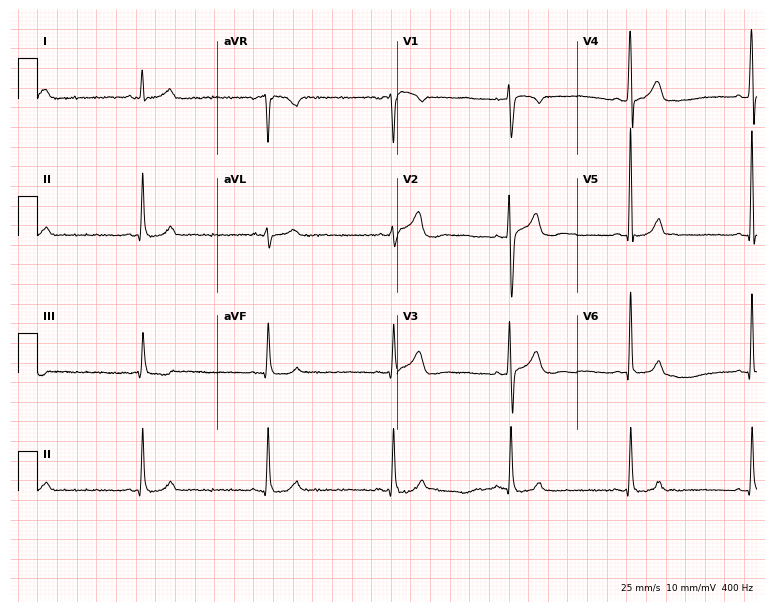
Resting 12-lead electrocardiogram (7.3-second recording at 400 Hz). Patient: a 51-year-old male. Read as a normal ECG.